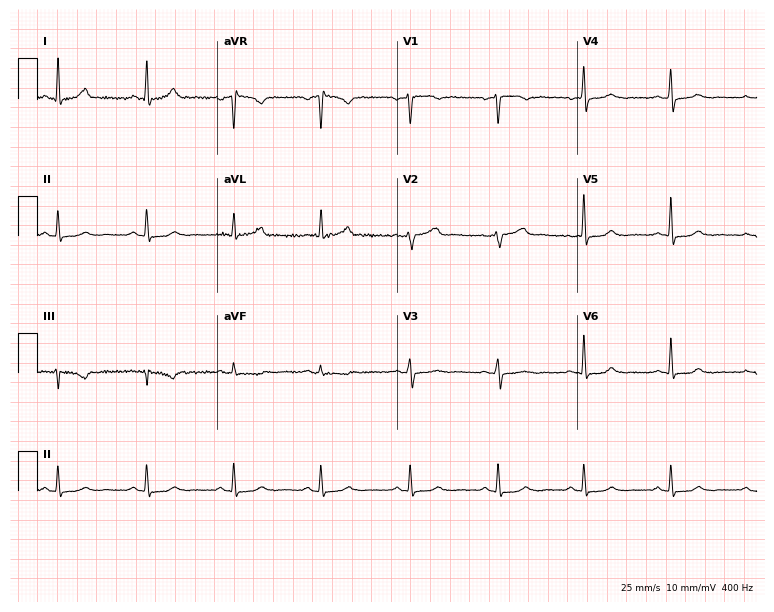
Standard 12-lead ECG recorded from a 64-year-old female patient. None of these six findings is recorded: first-degree AV block, right bundle branch block (RBBB), left bundle branch block (LBBB), sinus bradycardia, atrial fibrillation (AF), sinus tachycardia.